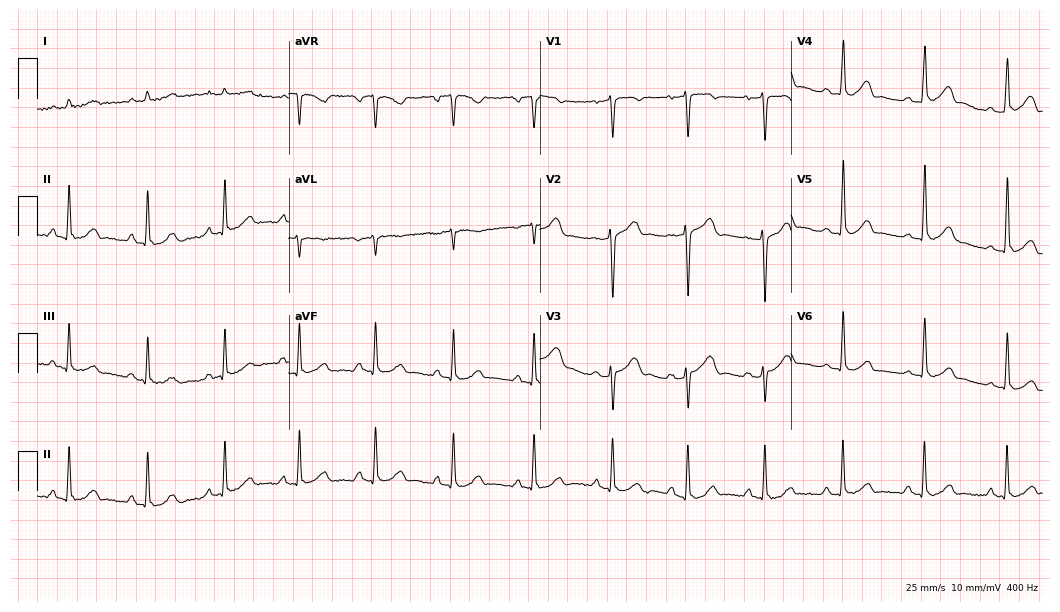
Standard 12-lead ECG recorded from a male patient, 36 years old (10.2-second recording at 400 Hz). Read as a normal ECG.